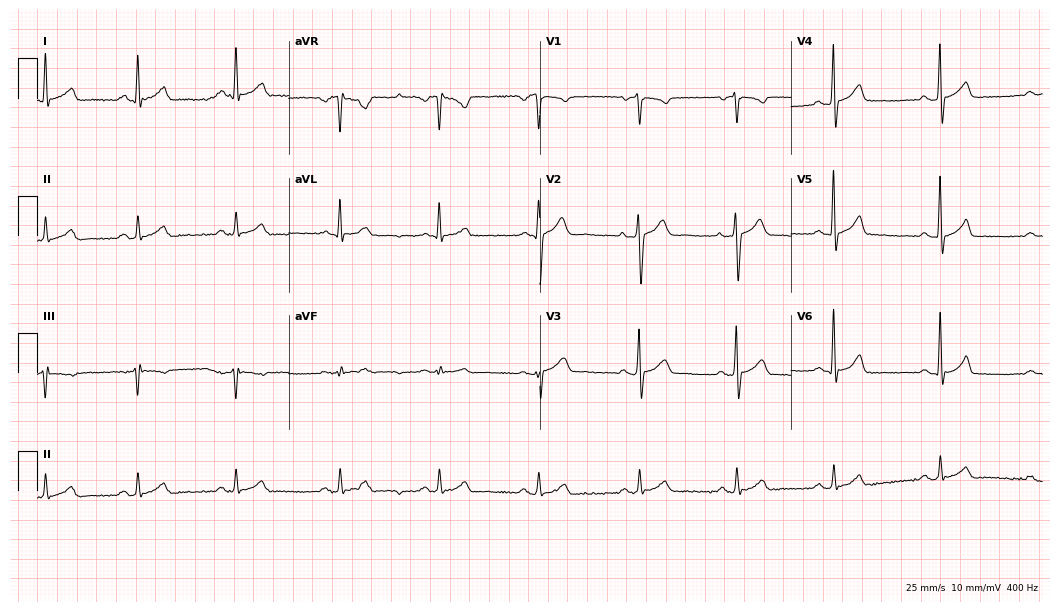
Electrocardiogram (10.2-second recording at 400 Hz), a 35-year-old male. Of the six screened findings (first-degree AV block, right bundle branch block, left bundle branch block, sinus bradycardia, atrial fibrillation, sinus tachycardia), none is recorded.